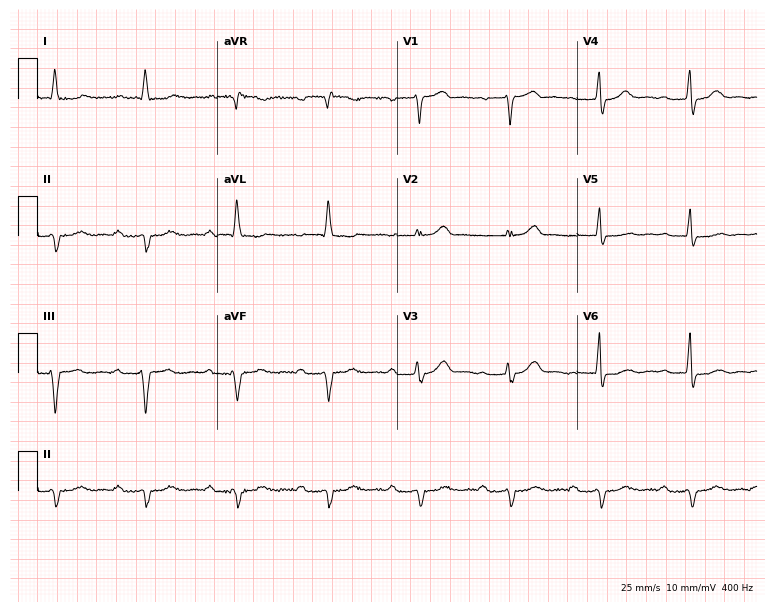
Resting 12-lead electrocardiogram (7.3-second recording at 400 Hz). Patient: a male, 82 years old. The tracing shows first-degree AV block.